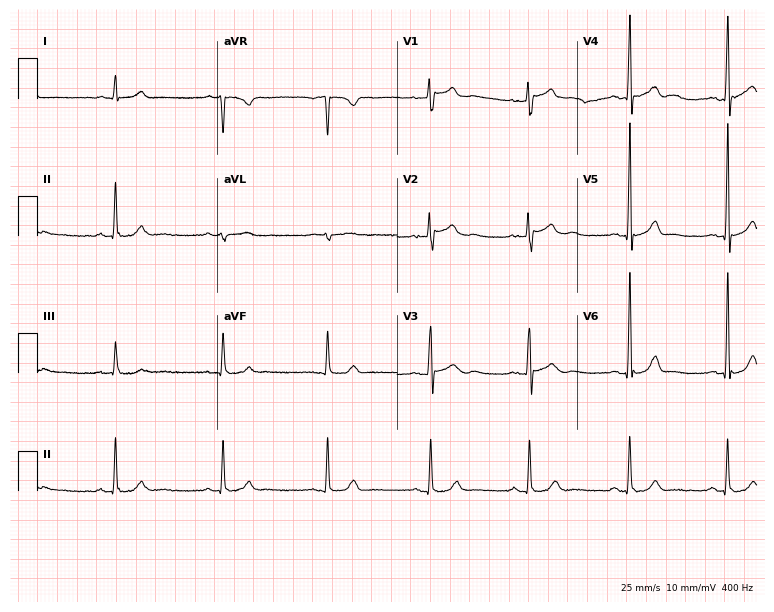
ECG — a male patient, 32 years old. Labelled as a normal ECG.